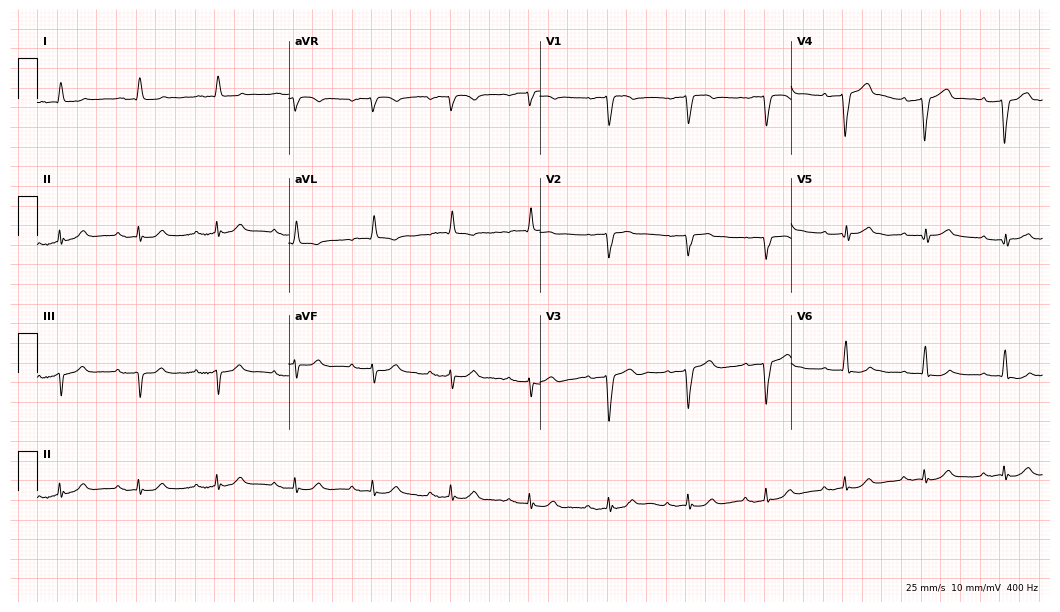
12-lead ECG (10.2-second recording at 400 Hz) from an 80-year-old male. Findings include first-degree AV block.